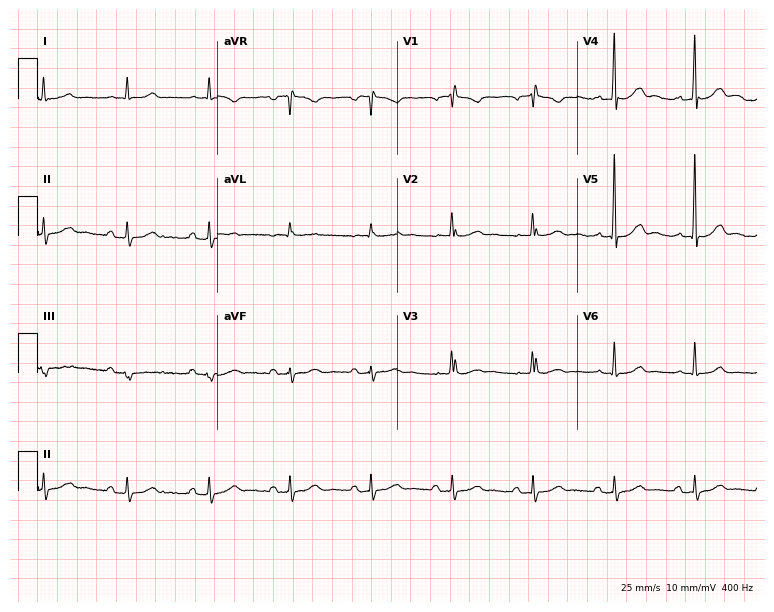
12-lead ECG from a man, 82 years old. Labelled as a normal ECG.